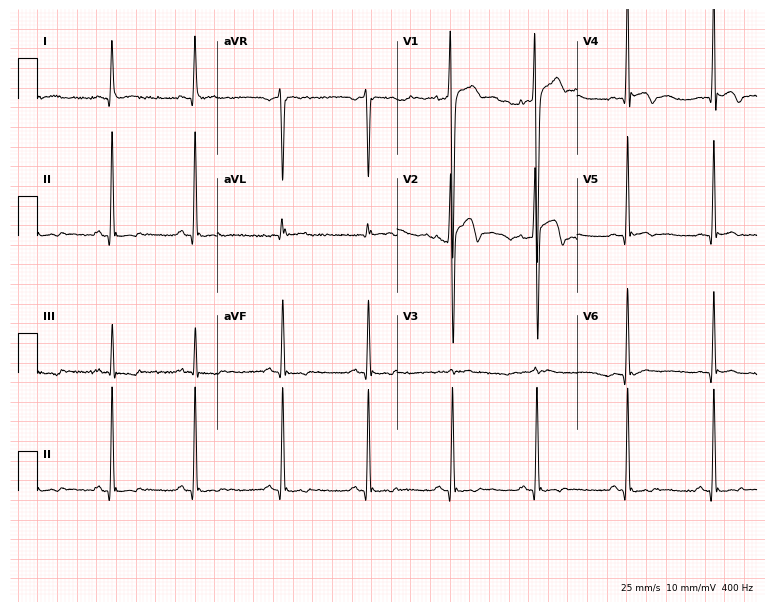
Standard 12-lead ECG recorded from a man, 17 years old (7.3-second recording at 400 Hz). None of these six findings is recorded: first-degree AV block, right bundle branch block (RBBB), left bundle branch block (LBBB), sinus bradycardia, atrial fibrillation (AF), sinus tachycardia. Only these six findings were labelled.